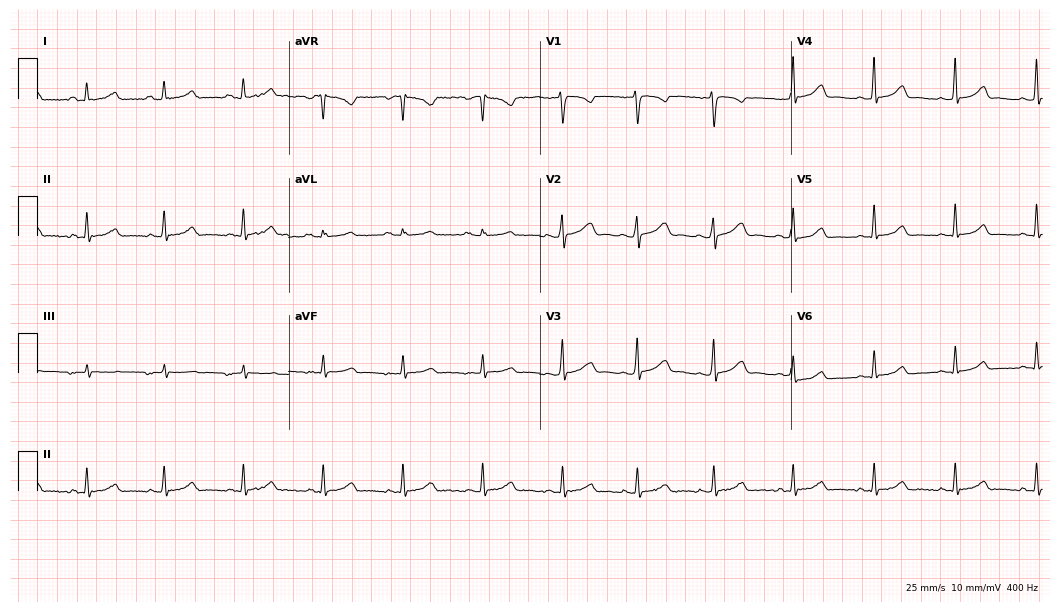
12-lead ECG from a 29-year-old woman. Labelled as a normal ECG.